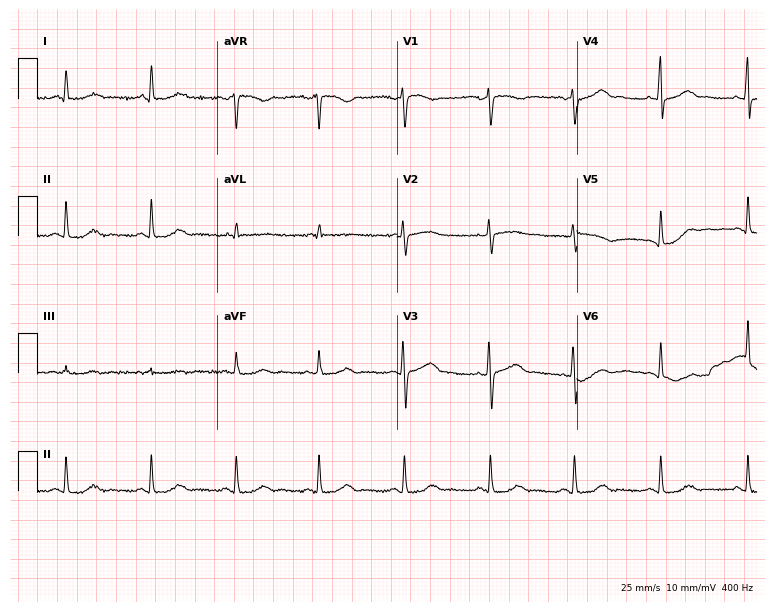
Resting 12-lead electrocardiogram. Patient: a male, 69 years old. None of these six findings is recorded: first-degree AV block, right bundle branch block, left bundle branch block, sinus bradycardia, atrial fibrillation, sinus tachycardia. Findings outside these six are not listed.